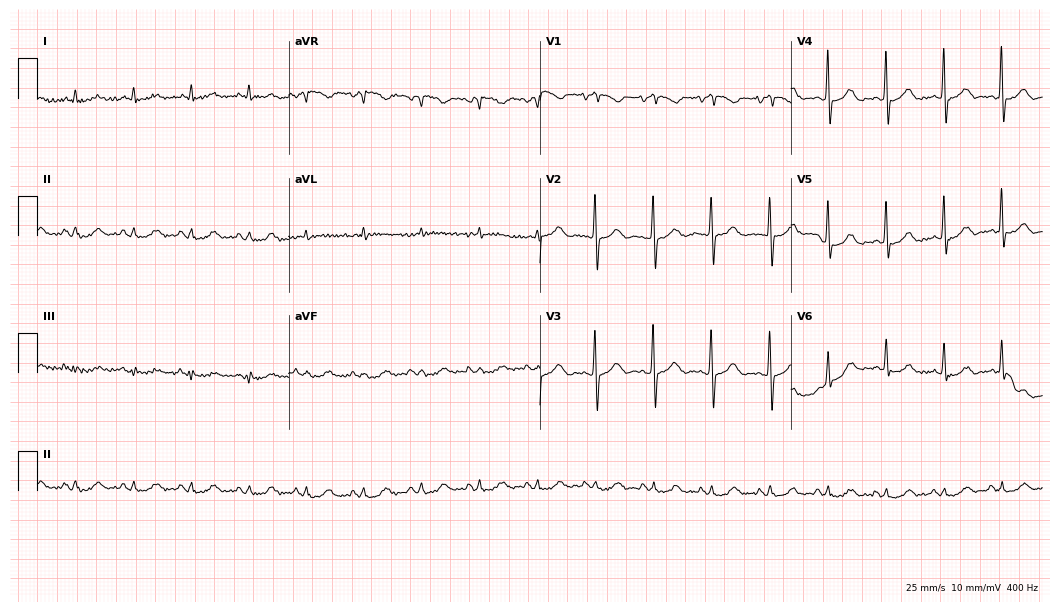
12-lead ECG from a female, 80 years old. Shows sinus tachycardia (a sinus rate of 100 beats per minute or more).